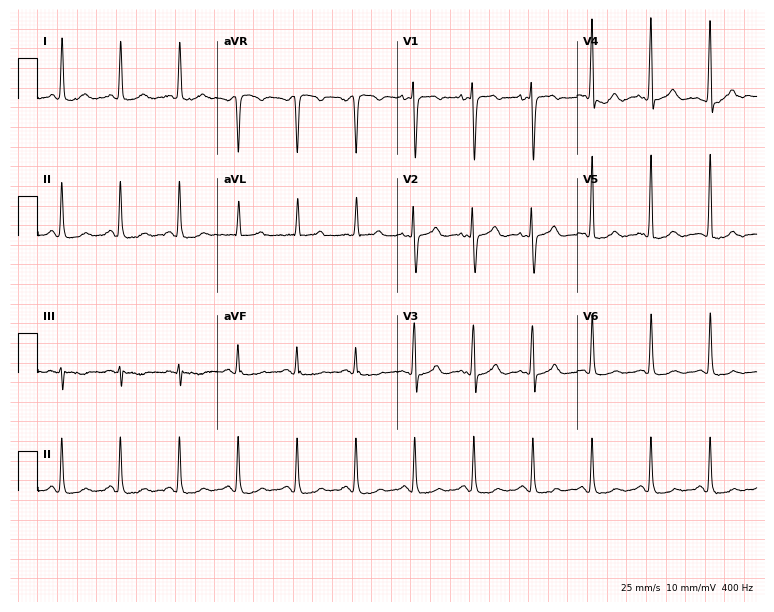
Resting 12-lead electrocardiogram. Patient: a 55-year-old female. None of these six findings is recorded: first-degree AV block, right bundle branch block, left bundle branch block, sinus bradycardia, atrial fibrillation, sinus tachycardia. Other findings, if any, are not listed.